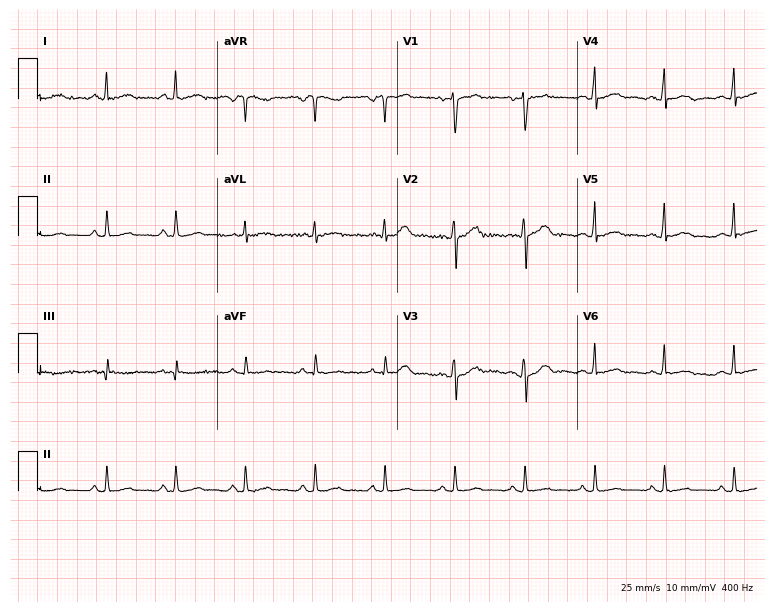
Standard 12-lead ECG recorded from a male patient, 22 years old. Read as a normal ECG.